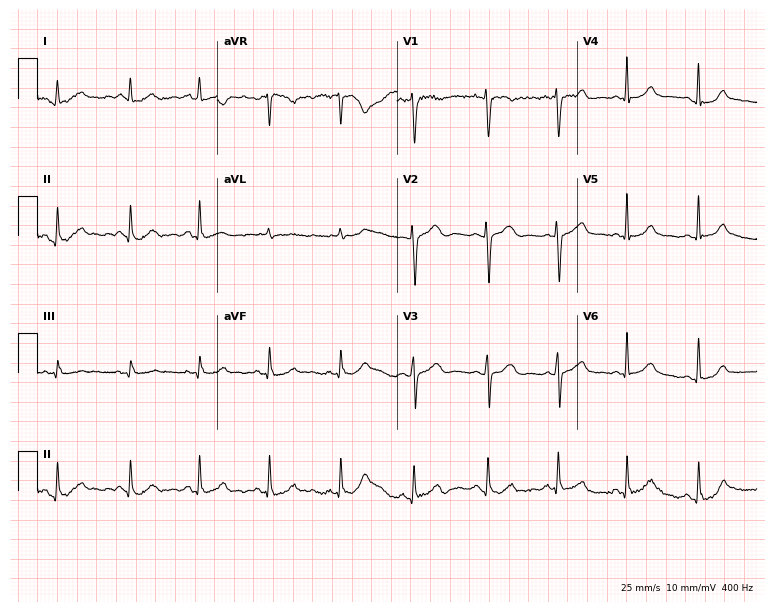
Electrocardiogram (7.3-second recording at 400 Hz), a woman, 28 years old. Of the six screened findings (first-degree AV block, right bundle branch block (RBBB), left bundle branch block (LBBB), sinus bradycardia, atrial fibrillation (AF), sinus tachycardia), none is recorded. Other findings, if any, are not listed.